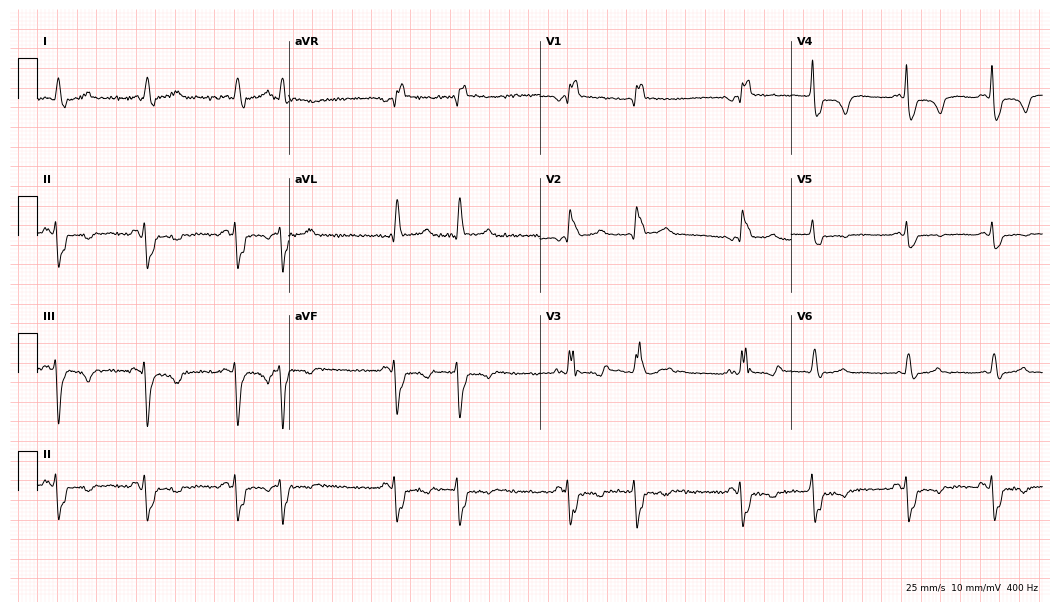
Electrocardiogram (10.2-second recording at 400 Hz), a 66-year-old female patient. Interpretation includes right bundle branch block (RBBB).